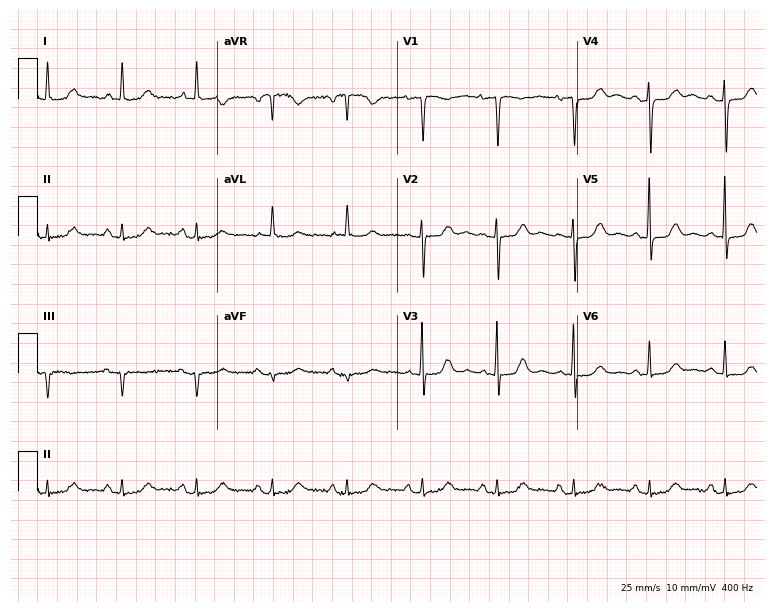
Resting 12-lead electrocardiogram (7.3-second recording at 400 Hz). Patient: an 80-year-old female. Read as a normal ECG.